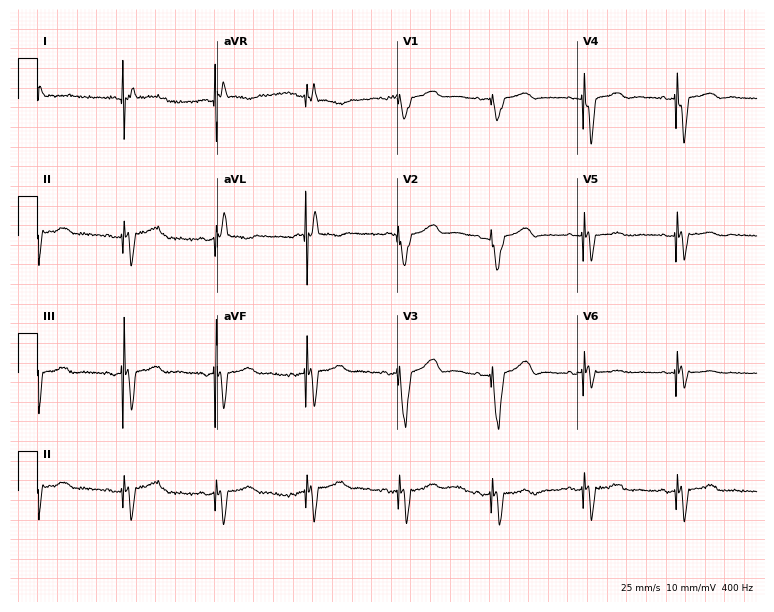
Resting 12-lead electrocardiogram (7.3-second recording at 400 Hz). Patient: a female, 68 years old. None of these six findings is recorded: first-degree AV block, right bundle branch block, left bundle branch block, sinus bradycardia, atrial fibrillation, sinus tachycardia. Only these six findings were labelled.